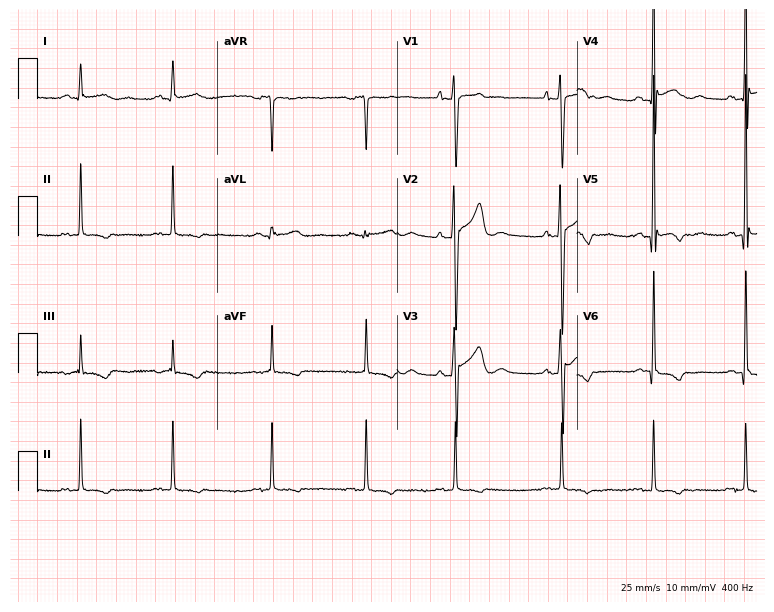
12-lead ECG (7.3-second recording at 400 Hz) from a 19-year-old man. Labelled as a normal ECG.